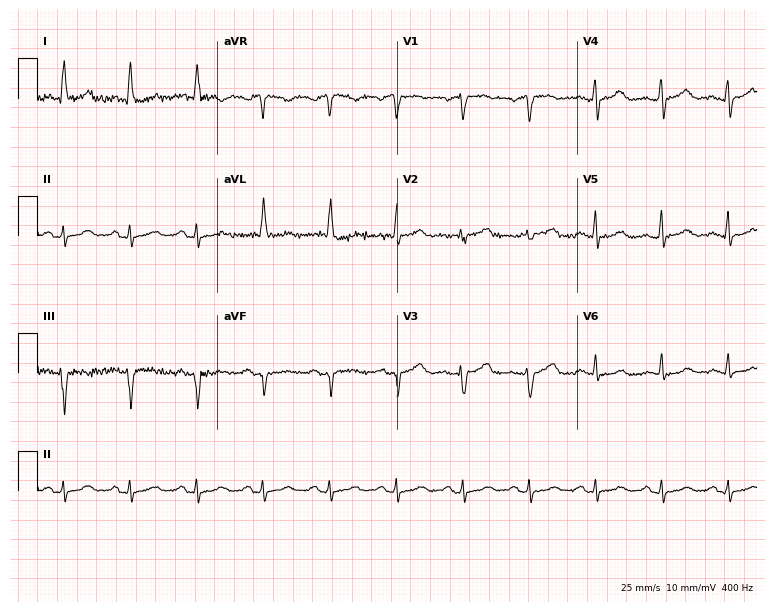
ECG (7.3-second recording at 400 Hz) — a 68-year-old female patient. Screened for six findings — first-degree AV block, right bundle branch block, left bundle branch block, sinus bradycardia, atrial fibrillation, sinus tachycardia — none is recorded. Other findings, if any, are not listed.